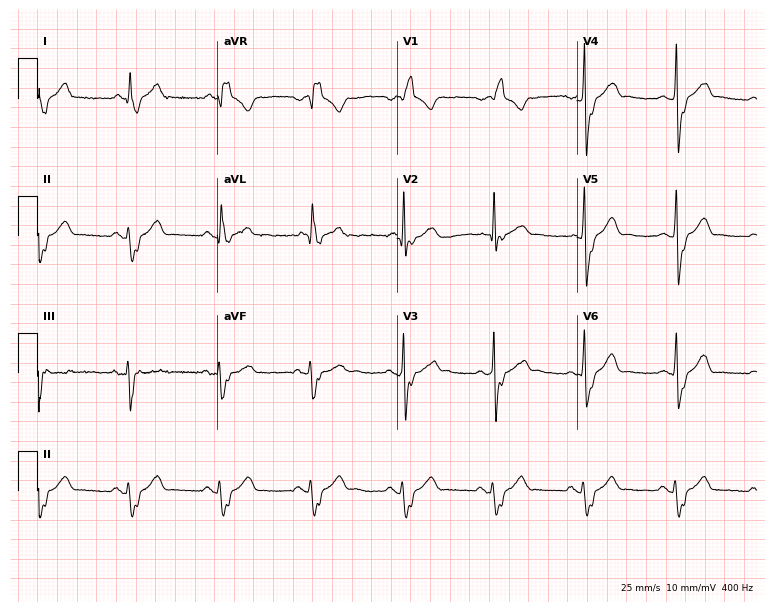
ECG — a male, 75 years old. Findings include right bundle branch block (RBBB).